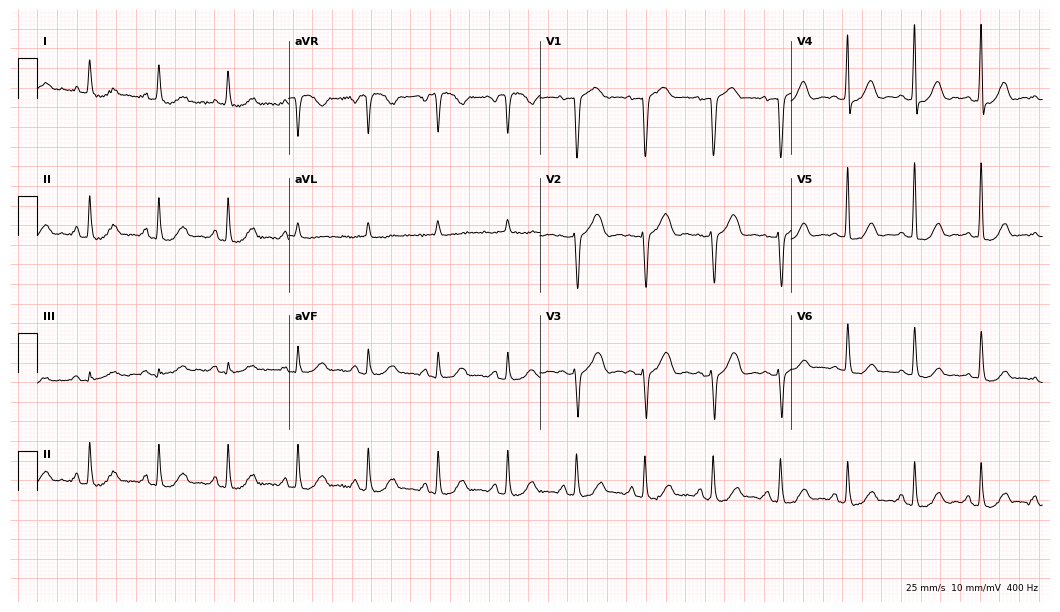
ECG (10.2-second recording at 400 Hz) — a woman, 66 years old. Labelled as a normal ECG.